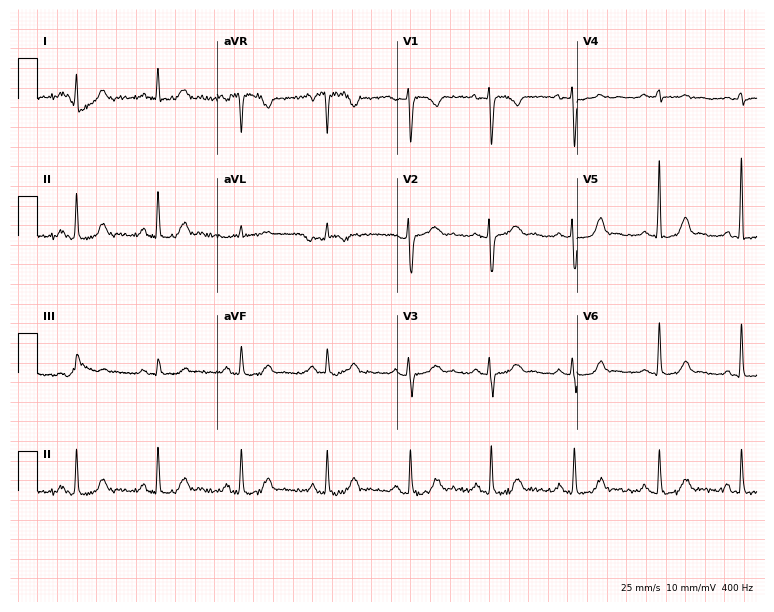
ECG (7.3-second recording at 400 Hz) — a female, 47 years old. Screened for six findings — first-degree AV block, right bundle branch block, left bundle branch block, sinus bradycardia, atrial fibrillation, sinus tachycardia — none is recorded.